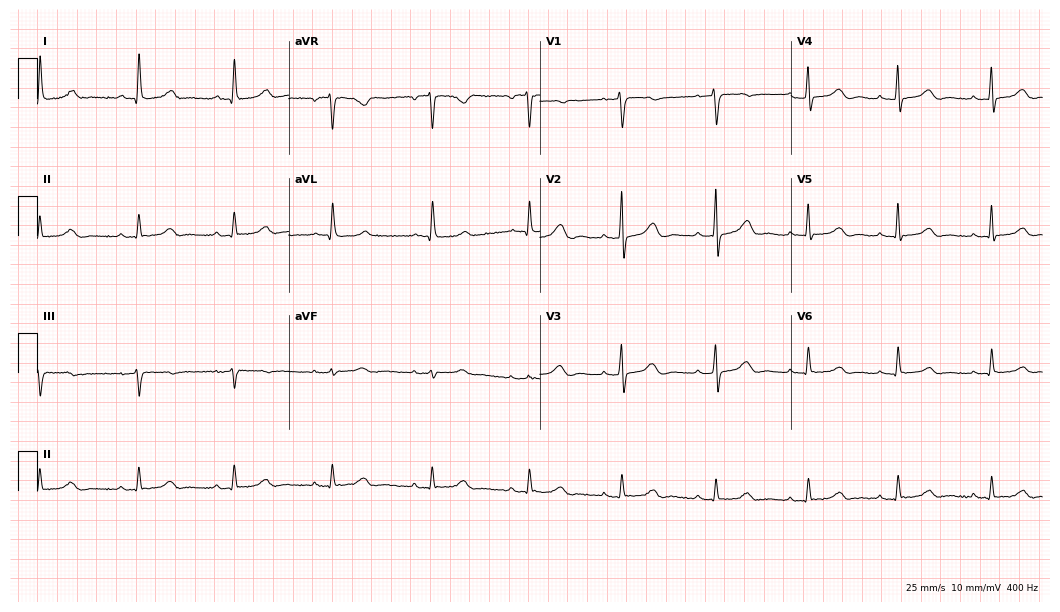
ECG (10.2-second recording at 400 Hz) — a woman, 47 years old. Screened for six findings — first-degree AV block, right bundle branch block, left bundle branch block, sinus bradycardia, atrial fibrillation, sinus tachycardia — none is recorded.